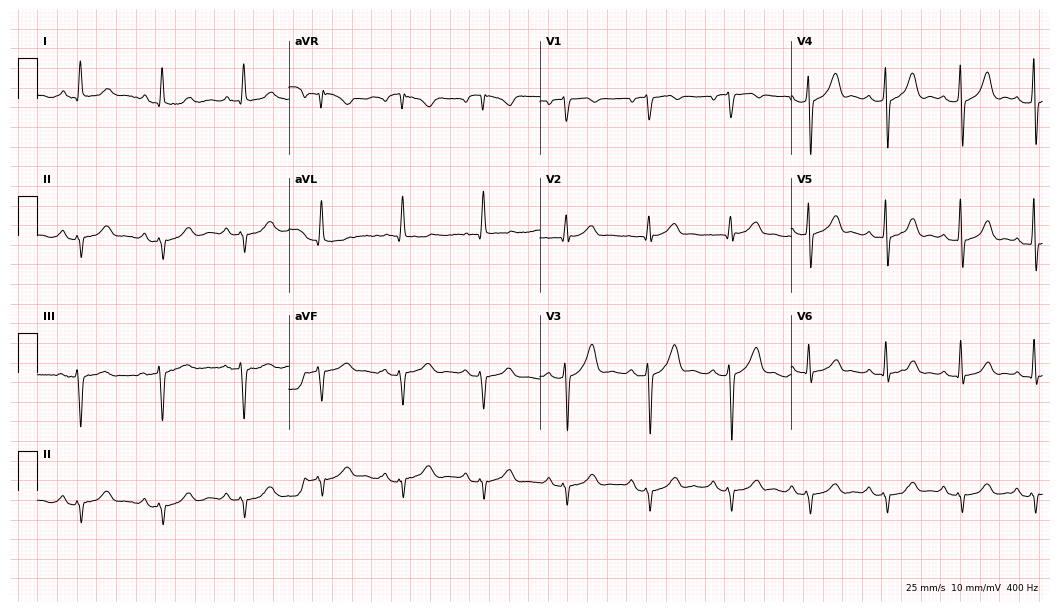
12-lead ECG from a man, 72 years old. Screened for six findings — first-degree AV block, right bundle branch block (RBBB), left bundle branch block (LBBB), sinus bradycardia, atrial fibrillation (AF), sinus tachycardia — none is recorded.